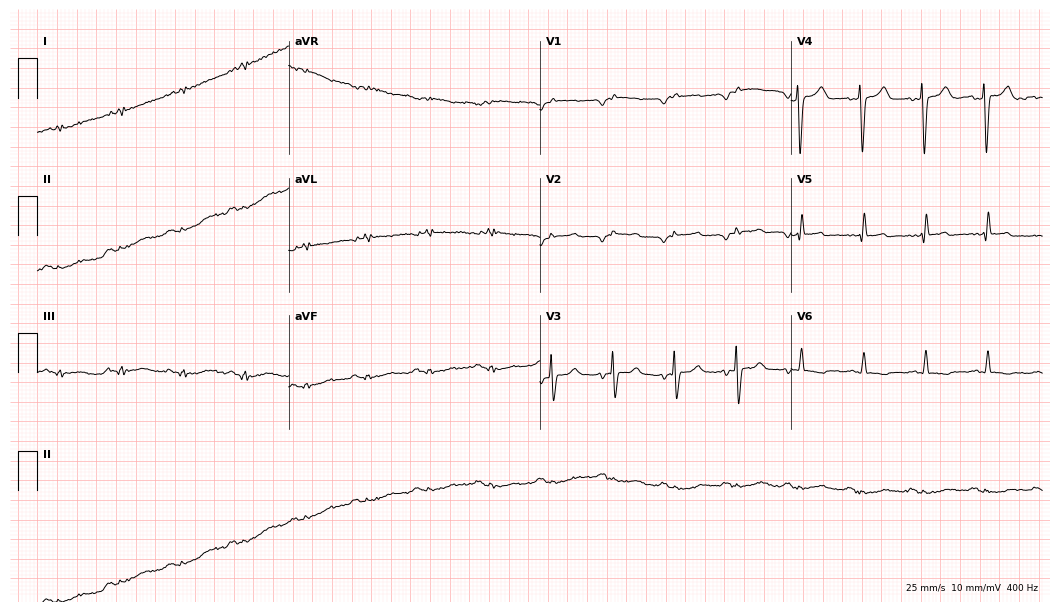
Resting 12-lead electrocardiogram. Patient: a 47-year-old male. None of these six findings is recorded: first-degree AV block, right bundle branch block (RBBB), left bundle branch block (LBBB), sinus bradycardia, atrial fibrillation (AF), sinus tachycardia.